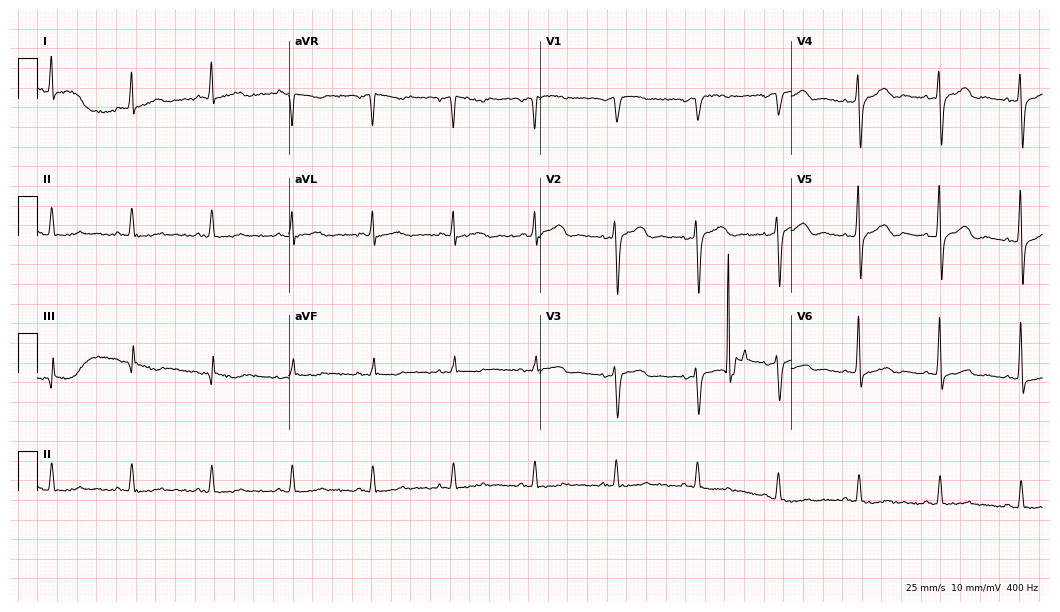
ECG — a female patient, 82 years old. Screened for six findings — first-degree AV block, right bundle branch block, left bundle branch block, sinus bradycardia, atrial fibrillation, sinus tachycardia — none is recorded. Only these six findings were labelled.